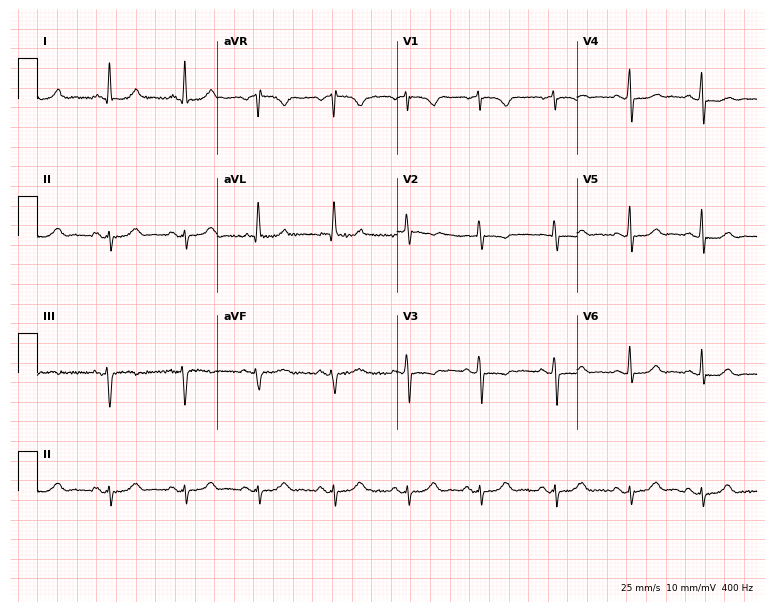
ECG — a female, 56 years old. Screened for six findings — first-degree AV block, right bundle branch block (RBBB), left bundle branch block (LBBB), sinus bradycardia, atrial fibrillation (AF), sinus tachycardia — none is recorded.